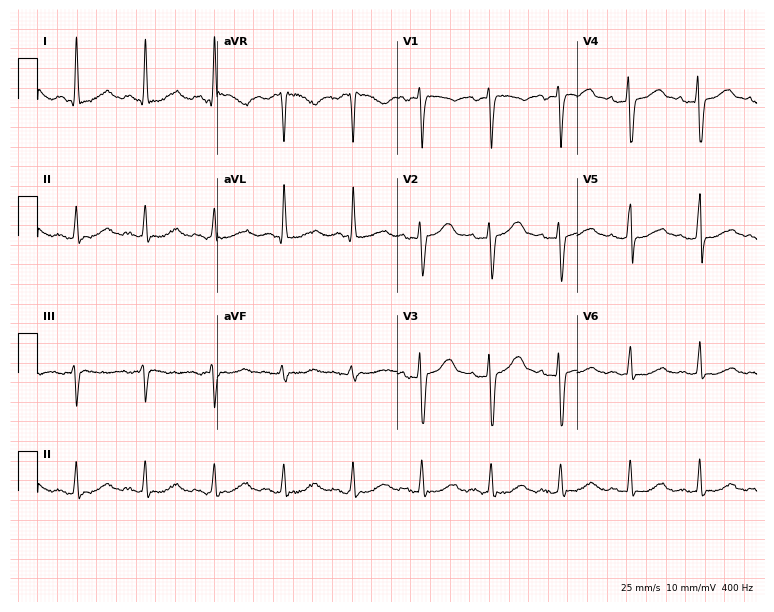
12-lead ECG from a 49-year-old female patient (7.3-second recording at 400 Hz). No first-degree AV block, right bundle branch block, left bundle branch block, sinus bradycardia, atrial fibrillation or sinus tachycardia recorded for this tracing.